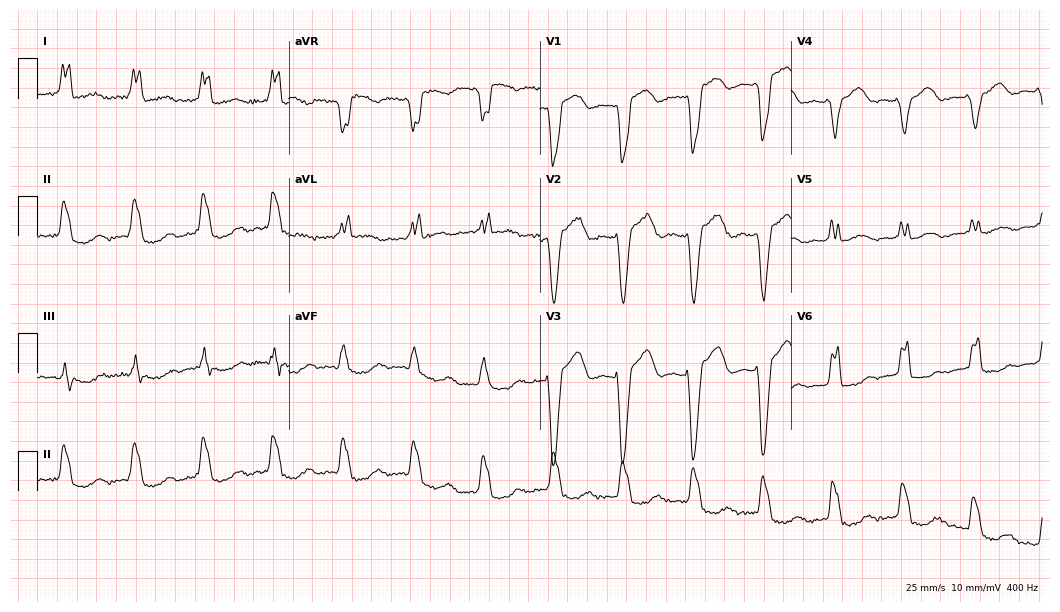
Resting 12-lead electrocardiogram. Patient: an 84-year-old female. None of these six findings is recorded: first-degree AV block, right bundle branch block, left bundle branch block, sinus bradycardia, atrial fibrillation, sinus tachycardia.